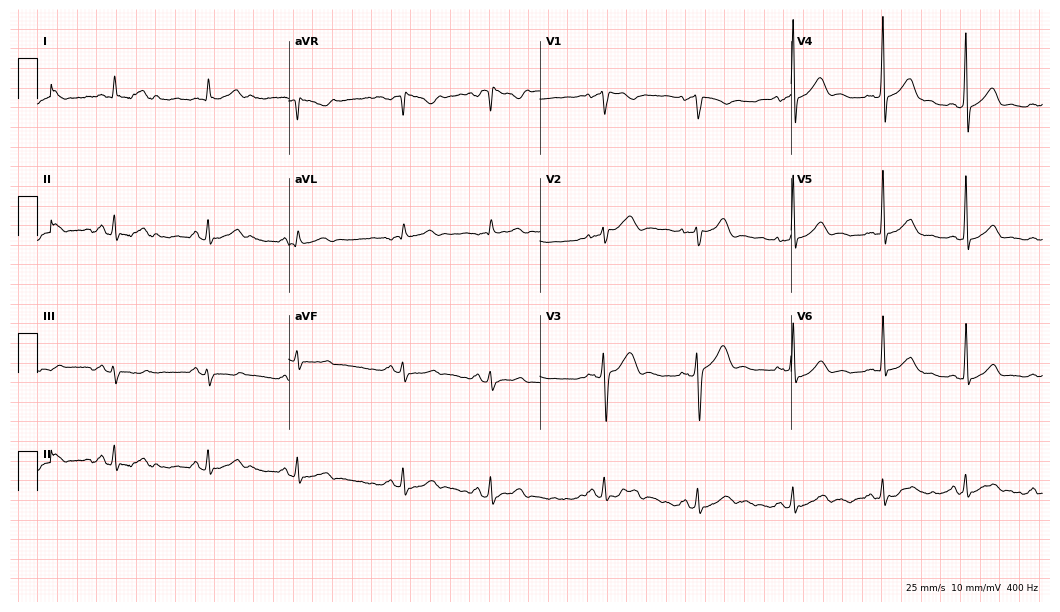
Standard 12-lead ECG recorded from a 48-year-old male. Read as a normal ECG.